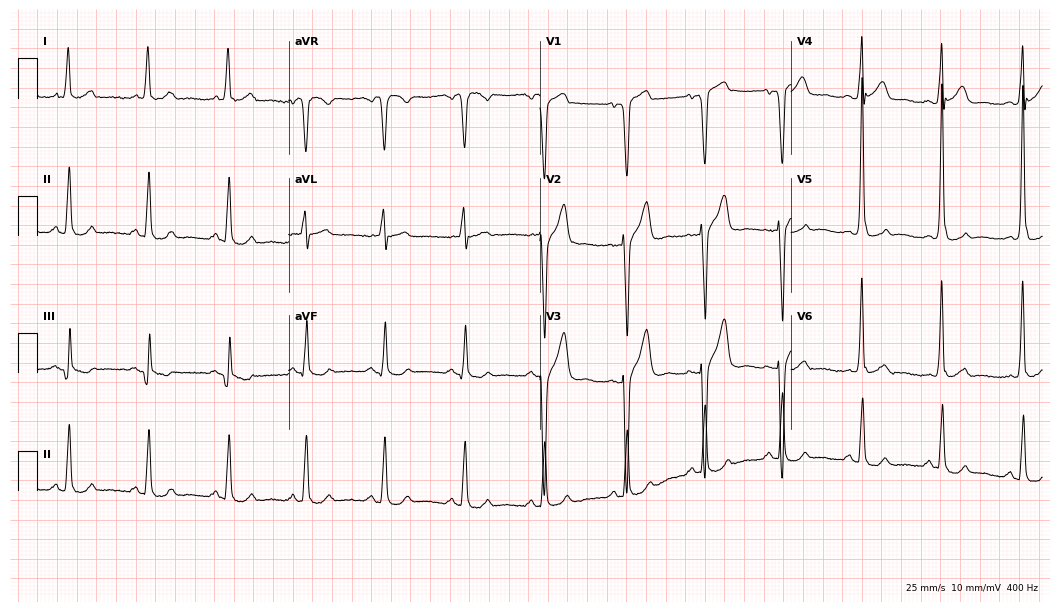
Resting 12-lead electrocardiogram (10.2-second recording at 400 Hz). Patient: a man, 46 years old. None of these six findings is recorded: first-degree AV block, right bundle branch block, left bundle branch block, sinus bradycardia, atrial fibrillation, sinus tachycardia.